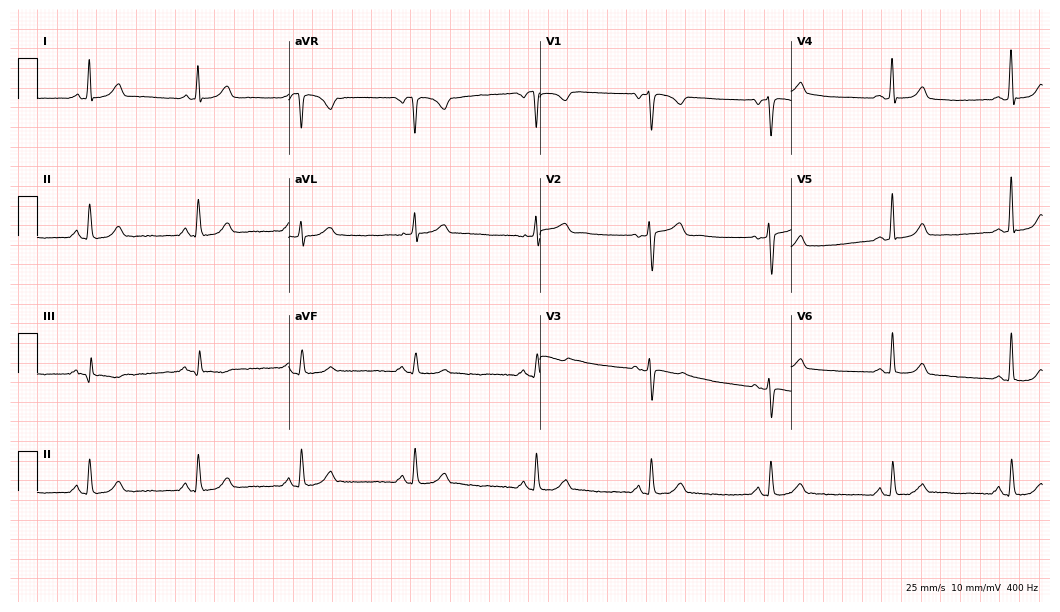
ECG — a woman, 46 years old. Screened for six findings — first-degree AV block, right bundle branch block, left bundle branch block, sinus bradycardia, atrial fibrillation, sinus tachycardia — none is recorded. Other findings, if any, are not listed.